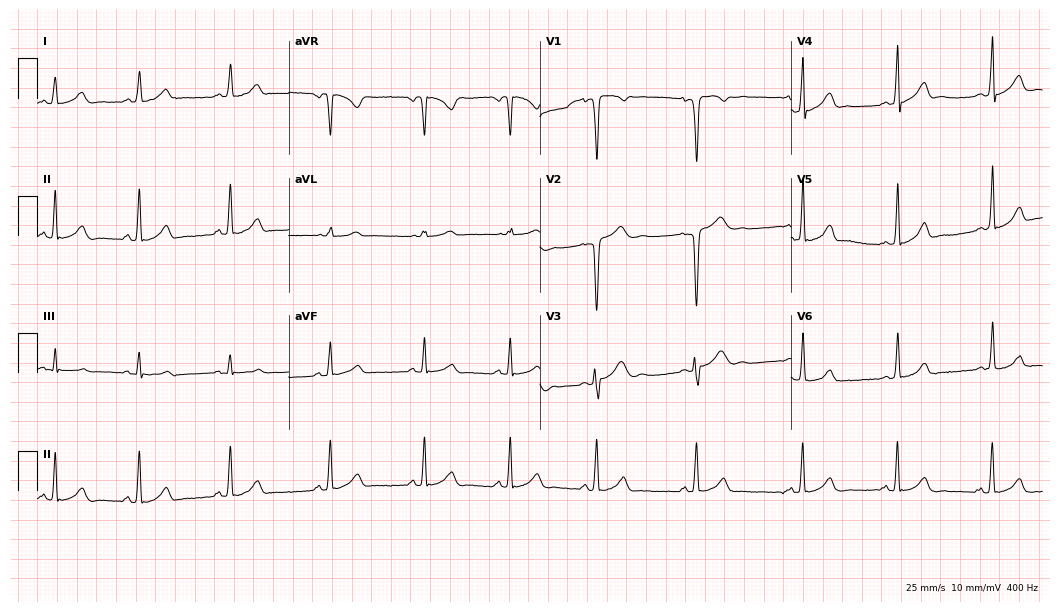
Electrocardiogram, a 17-year-old woman. Overall reading on record: normal ECG.